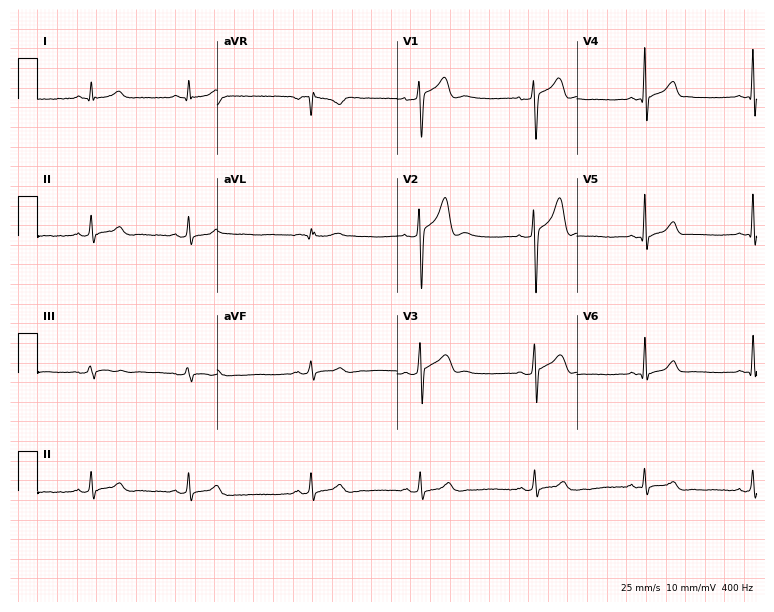
Standard 12-lead ECG recorded from a male patient, 23 years old (7.3-second recording at 400 Hz). None of these six findings is recorded: first-degree AV block, right bundle branch block, left bundle branch block, sinus bradycardia, atrial fibrillation, sinus tachycardia.